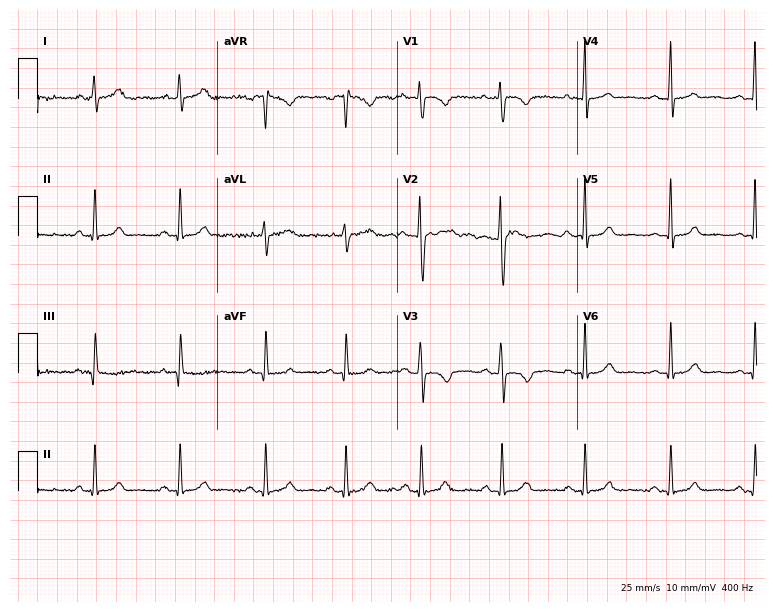
ECG (7.3-second recording at 400 Hz) — a female, 29 years old. Labelled as a normal ECG.